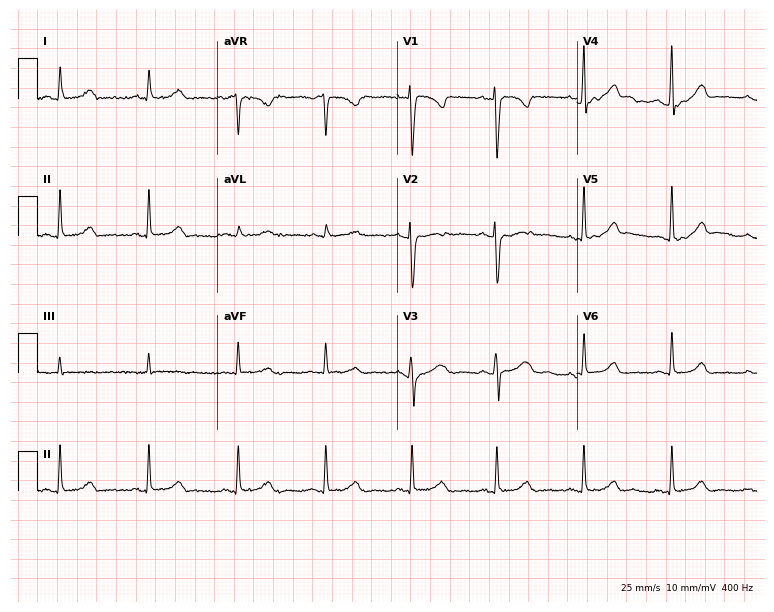
12-lead ECG from a woman, 39 years old. Labelled as a normal ECG.